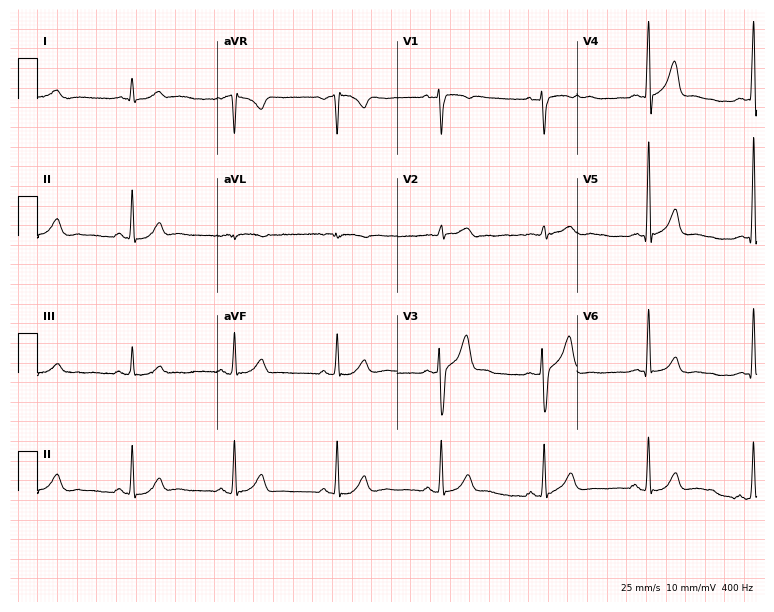
ECG (7.3-second recording at 400 Hz) — a 53-year-old male. Labelled as a normal ECG.